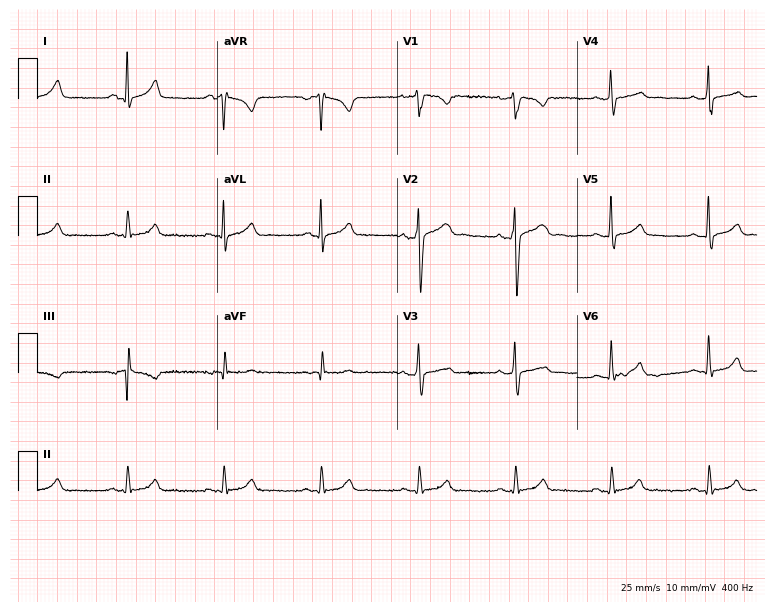
Electrocardiogram (7.3-second recording at 400 Hz), a man, 44 years old. Overall reading on record: normal ECG.